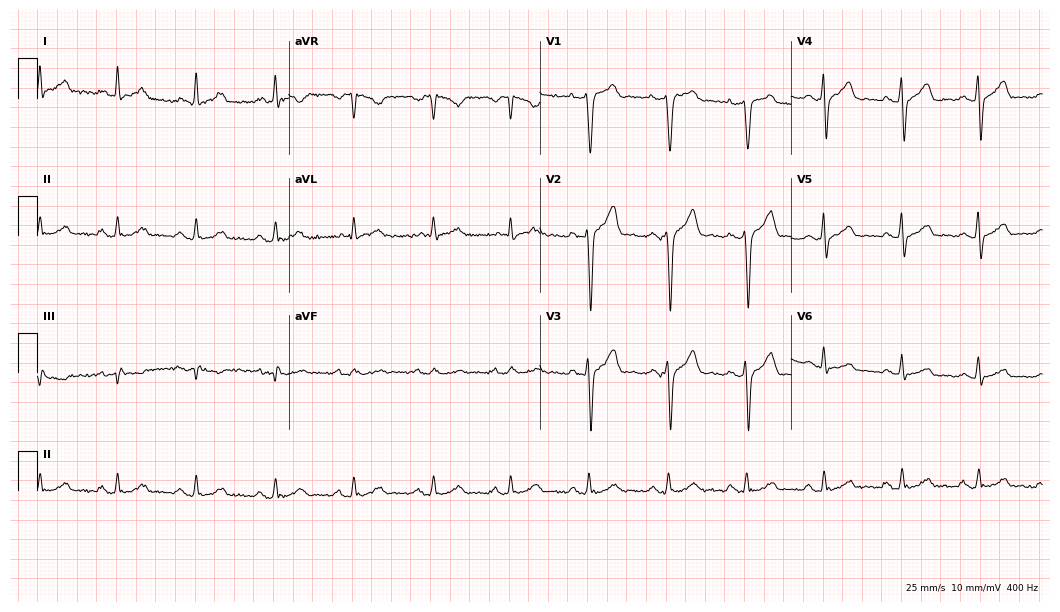
Resting 12-lead electrocardiogram (10.2-second recording at 400 Hz). Patient: a male, 49 years old. Read as a normal ECG.